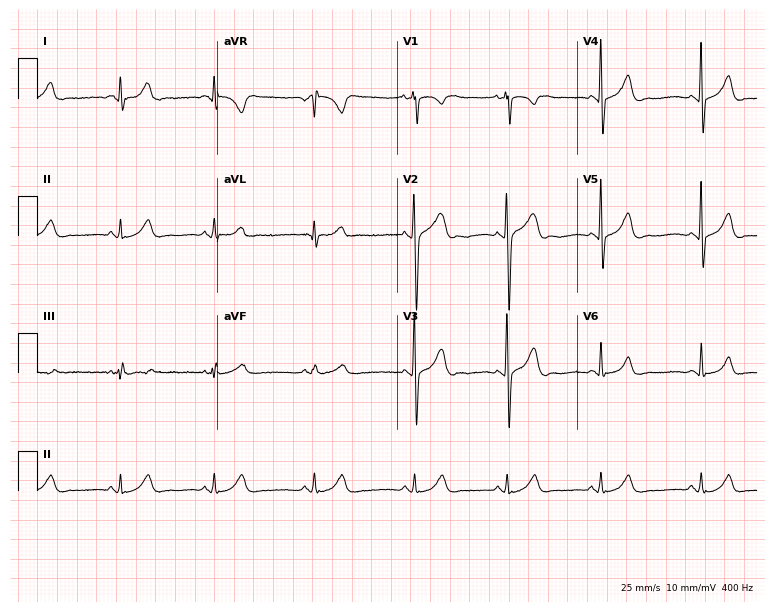
Standard 12-lead ECG recorded from a 19-year-old female patient. Read as a normal ECG.